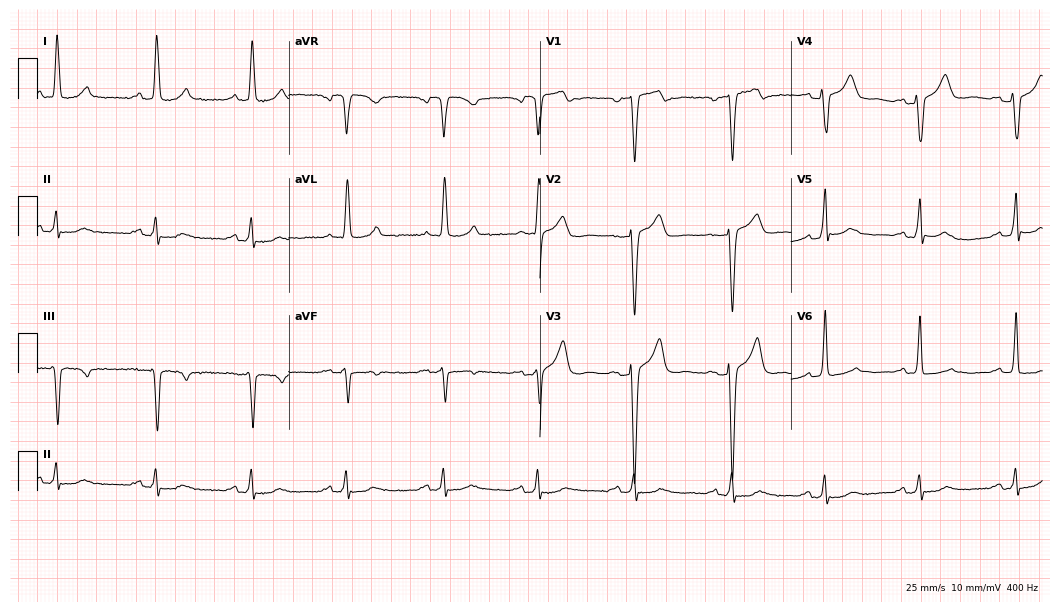
12-lead ECG from a 53-year-old male patient. Screened for six findings — first-degree AV block, right bundle branch block, left bundle branch block, sinus bradycardia, atrial fibrillation, sinus tachycardia — none is recorded.